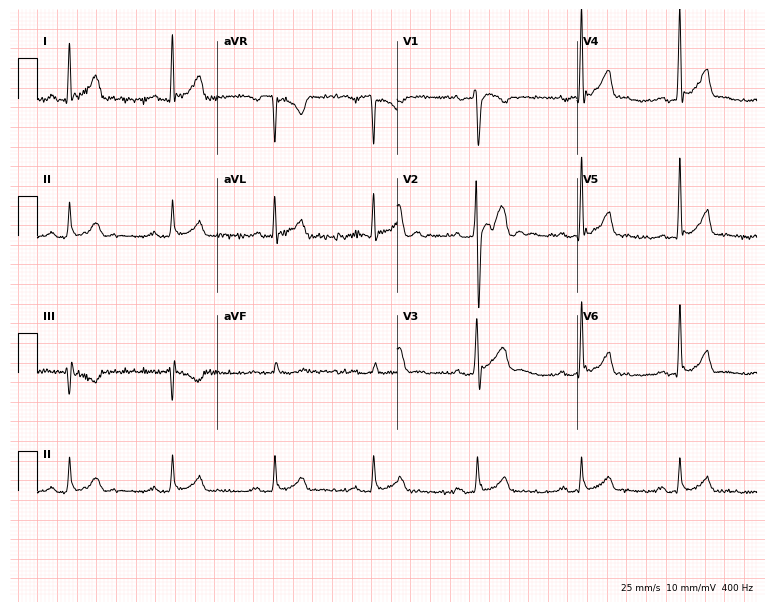
ECG (7.3-second recording at 400 Hz) — a 28-year-old male. Findings include first-degree AV block.